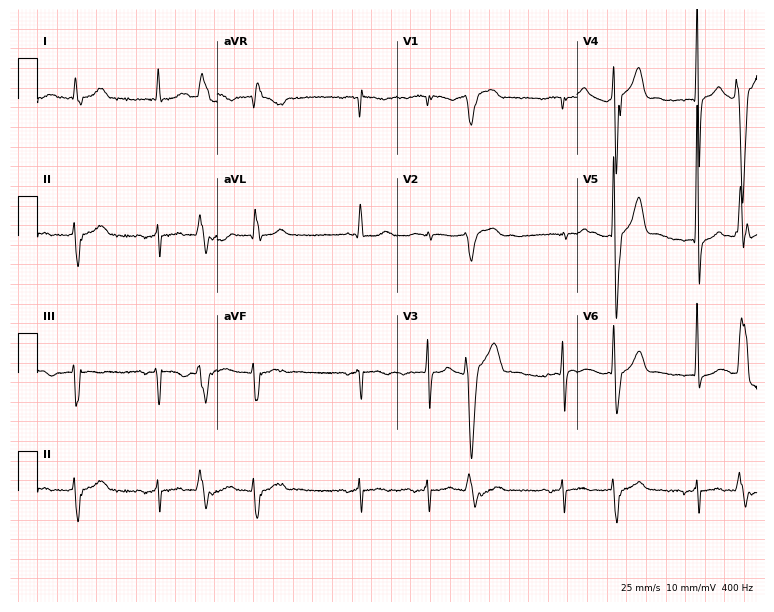
12-lead ECG from a female patient, 79 years old. No first-degree AV block, right bundle branch block (RBBB), left bundle branch block (LBBB), sinus bradycardia, atrial fibrillation (AF) or sinus tachycardia recorded for this tracing. Other findings, if any, are not listed.